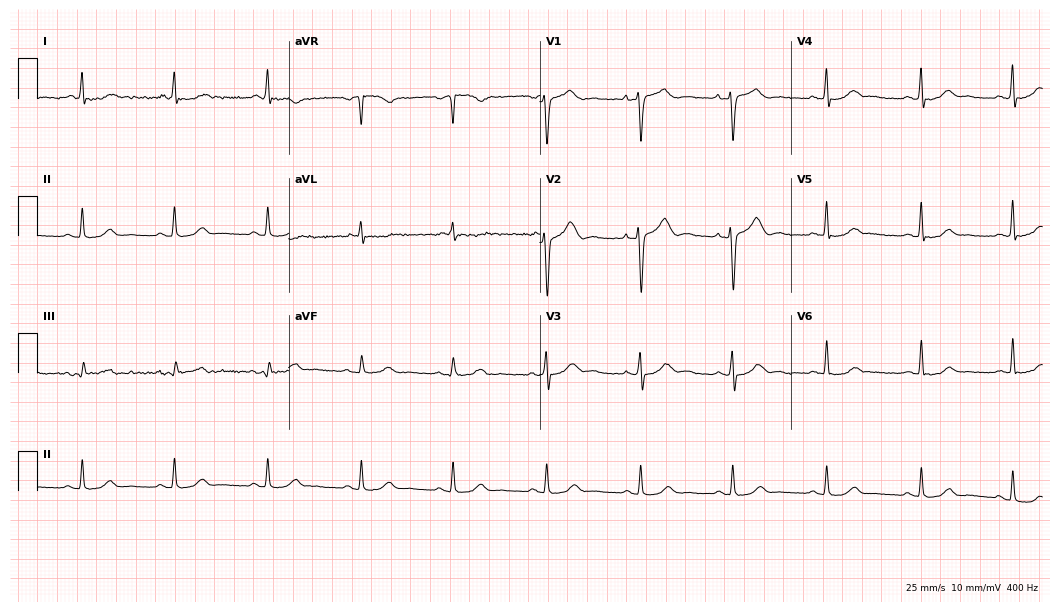
12-lead ECG (10.2-second recording at 400 Hz) from a 45-year-old female. Screened for six findings — first-degree AV block, right bundle branch block, left bundle branch block, sinus bradycardia, atrial fibrillation, sinus tachycardia — none is recorded. Findings outside these six are not listed.